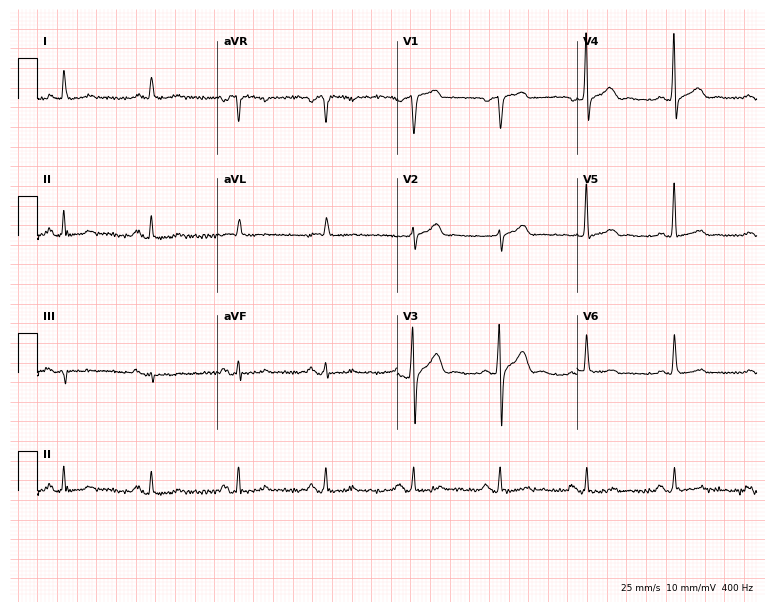
Standard 12-lead ECG recorded from a male patient, 54 years old (7.3-second recording at 400 Hz). None of these six findings is recorded: first-degree AV block, right bundle branch block, left bundle branch block, sinus bradycardia, atrial fibrillation, sinus tachycardia.